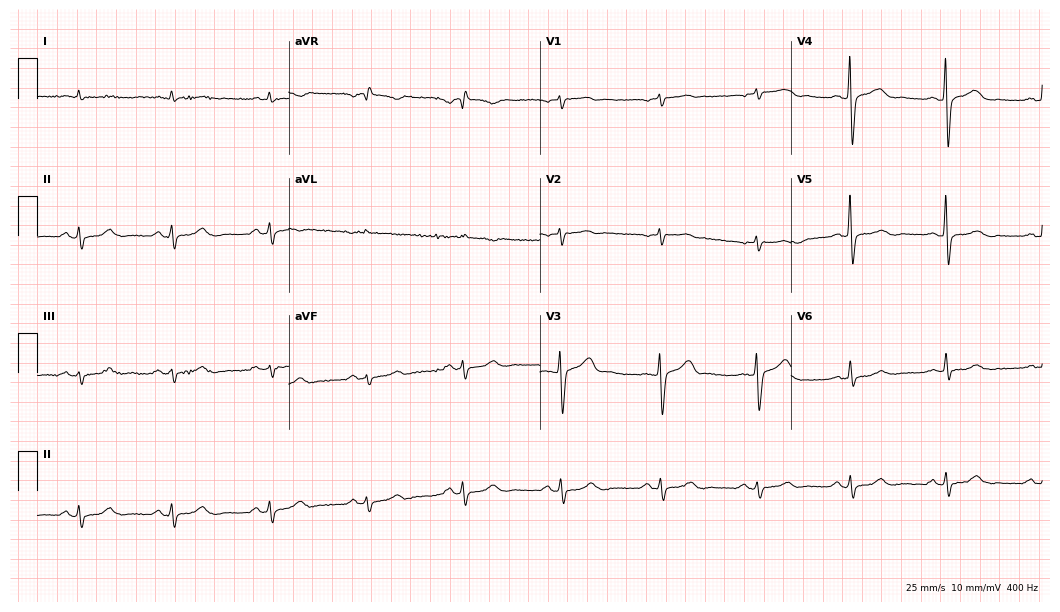
ECG — a male patient, 57 years old. Screened for six findings — first-degree AV block, right bundle branch block, left bundle branch block, sinus bradycardia, atrial fibrillation, sinus tachycardia — none is recorded. Other findings, if any, are not listed.